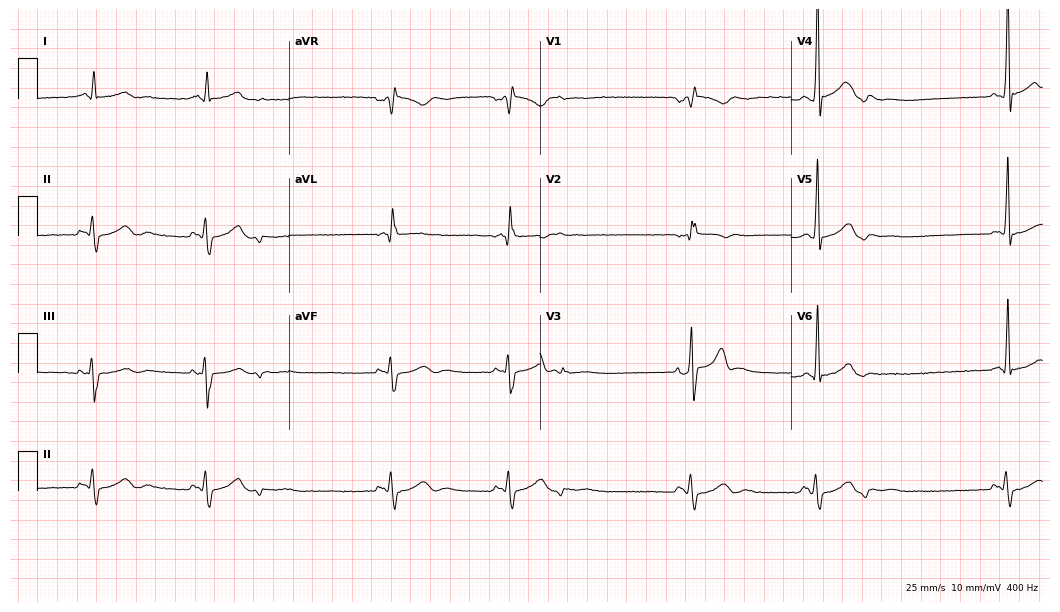
ECG (10.2-second recording at 400 Hz) — a 53-year-old male. Findings include right bundle branch block, sinus bradycardia (a sinus rate of 50 beats per minute or less).